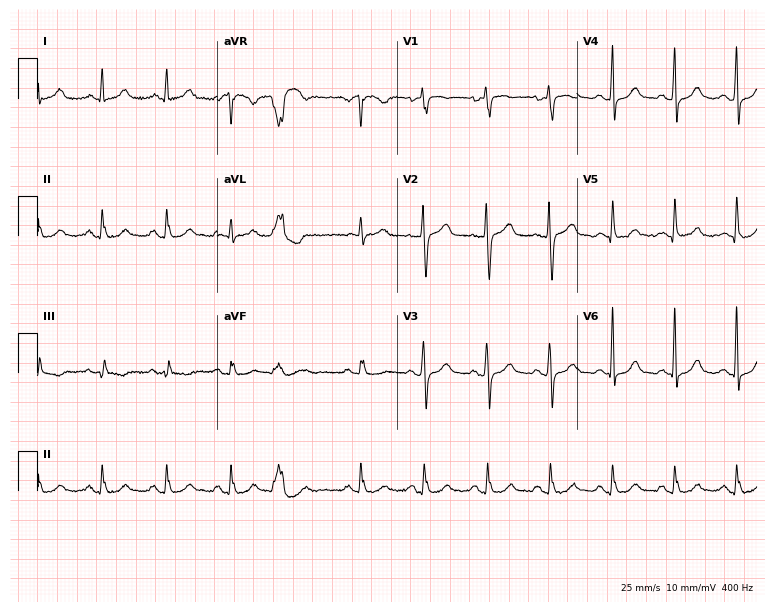
12-lead ECG from a female patient, 67 years old. Screened for six findings — first-degree AV block, right bundle branch block, left bundle branch block, sinus bradycardia, atrial fibrillation, sinus tachycardia — none is recorded.